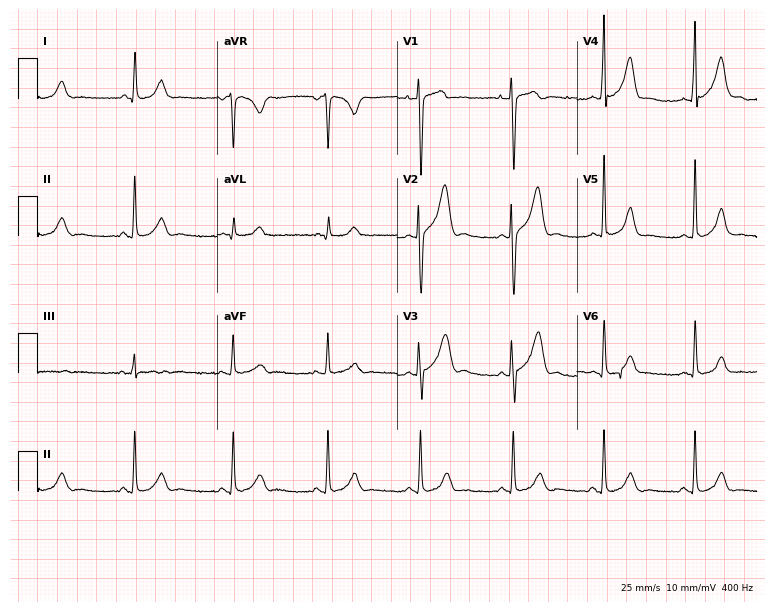
12-lead ECG from a male patient, 41 years old. No first-degree AV block, right bundle branch block, left bundle branch block, sinus bradycardia, atrial fibrillation or sinus tachycardia recorded for this tracing. Only these six findings were labelled.